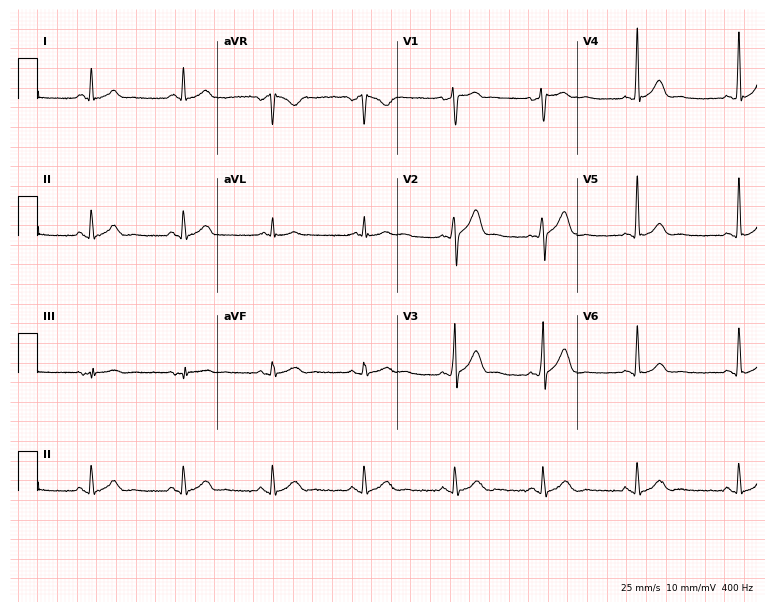
Electrocardiogram (7.3-second recording at 400 Hz), a man, 40 years old. Of the six screened findings (first-degree AV block, right bundle branch block (RBBB), left bundle branch block (LBBB), sinus bradycardia, atrial fibrillation (AF), sinus tachycardia), none is recorded.